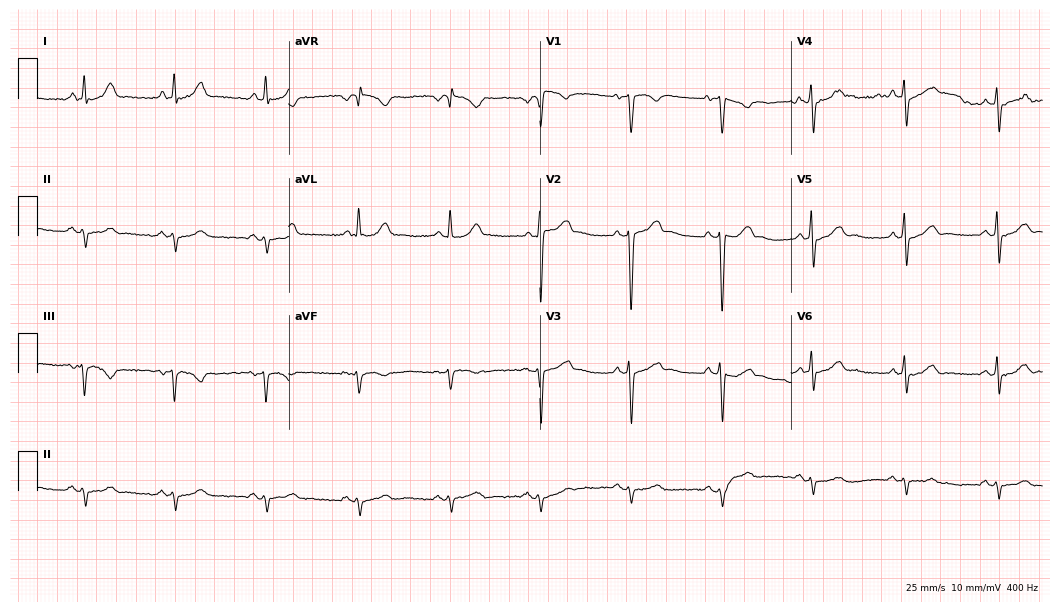
Electrocardiogram (10.2-second recording at 400 Hz), a woman, 64 years old. Of the six screened findings (first-degree AV block, right bundle branch block, left bundle branch block, sinus bradycardia, atrial fibrillation, sinus tachycardia), none is recorded.